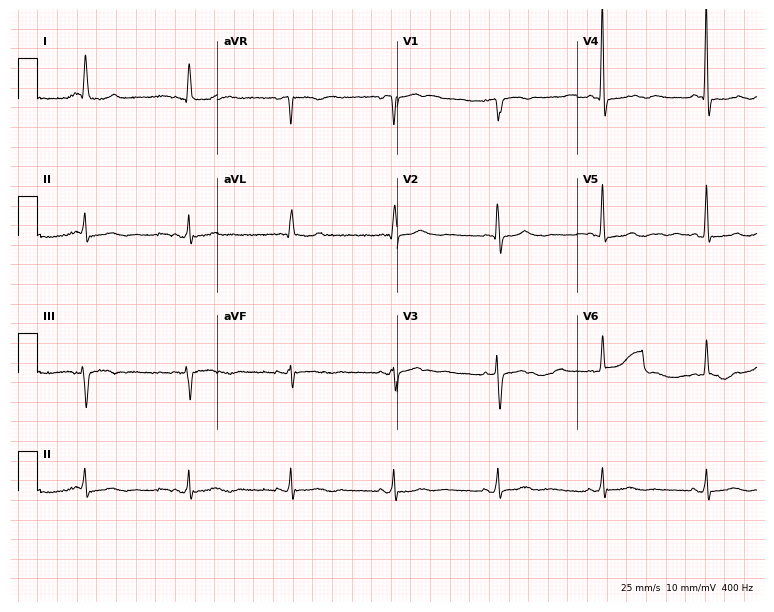
Electrocardiogram (7.3-second recording at 400 Hz), a female patient, 78 years old. Of the six screened findings (first-degree AV block, right bundle branch block (RBBB), left bundle branch block (LBBB), sinus bradycardia, atrial fibrillation (AF), sinus tachycardia), none is recorded. Other findings, if any, are not listed.